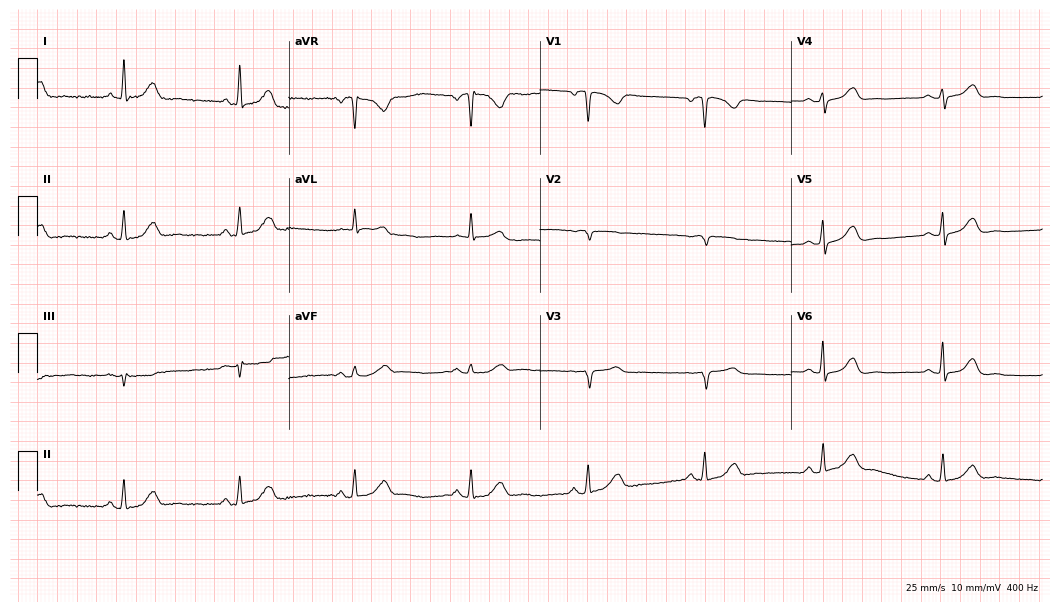
Resting 12-lead electrocardiogram. Patient: a 72-year-old female. None of these six findings is recorded: first-degree AV block, right bundle branch block, left bundle branch block, sinus bradycardia, atrial fibrillation, sinus tachycardia. Findings outside these six are not listed.